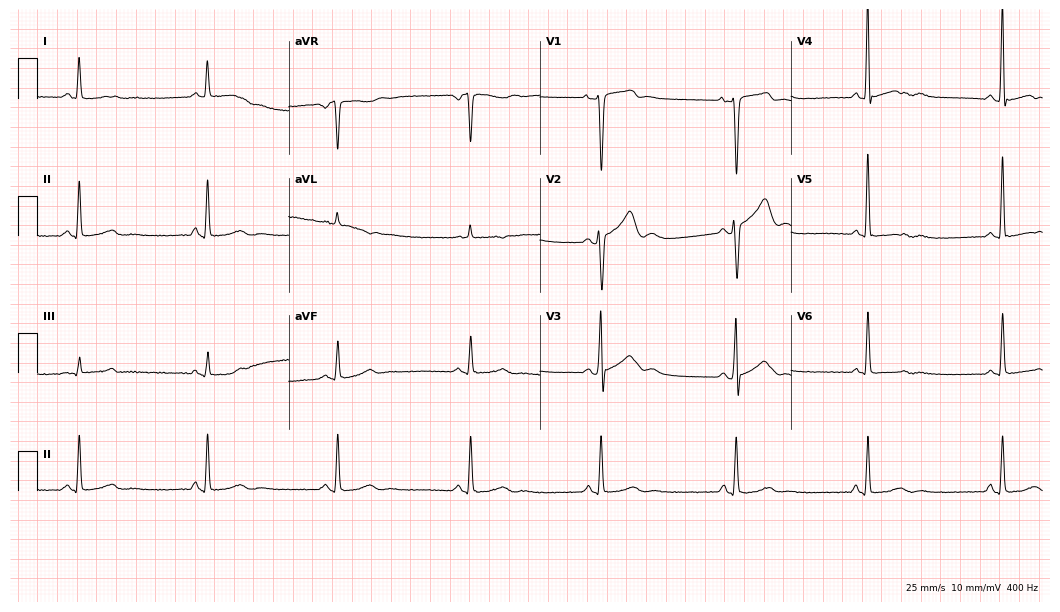
Standard 12-lead ECG recorded from a male patient, 47 years old (10.2-second recording at 400 Hz). The tracing shows sinus bradycardia (a sinus rate of 50 beats per minute or less).